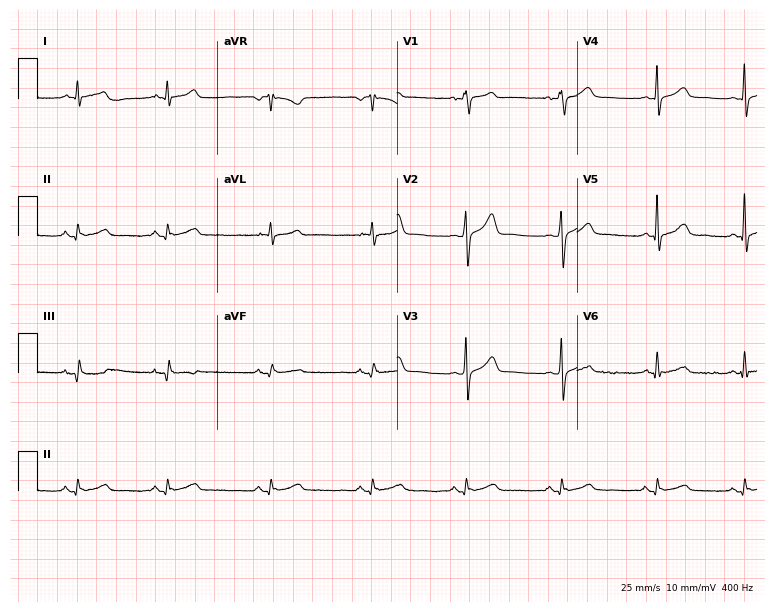
Resting 12-lead electrocardiogram. Patient: a male, 51 years old. None of these six findings is recorded: first-degree AV block, right bundle branch block, left bundle branch block, sinus bradycardia, atrial fibrillation, sinus tachycardia.